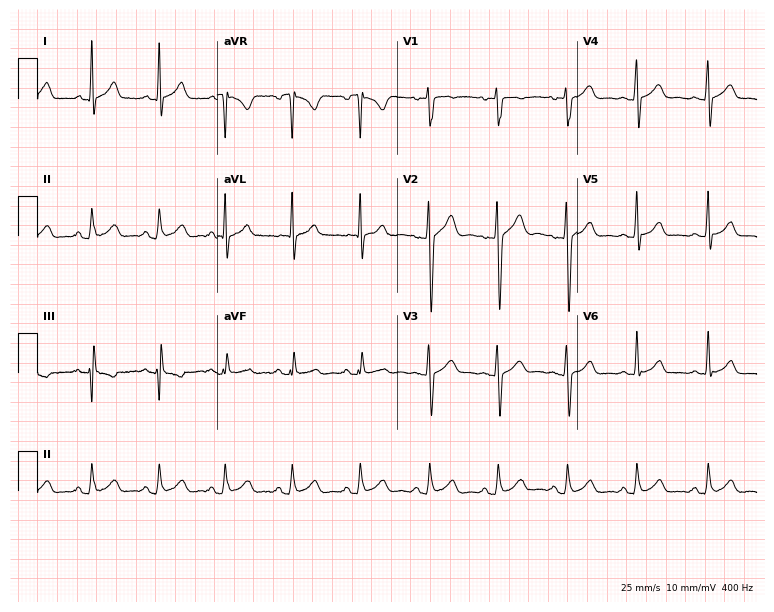
Resting 12-lead electrocardiogram. Patient: a 25-year-old male. Read as a normal ECG.